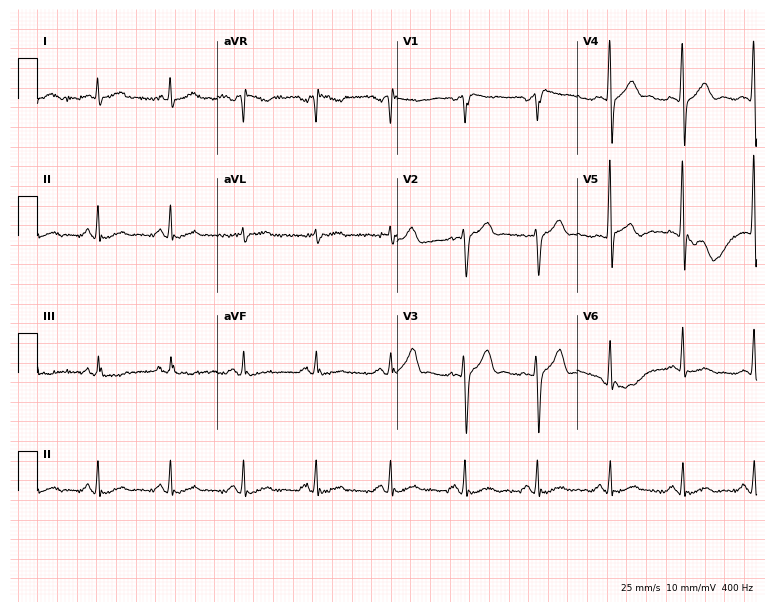
Electrocardiogram, a male, 44 years old. Overall reading on record: normal ECG.